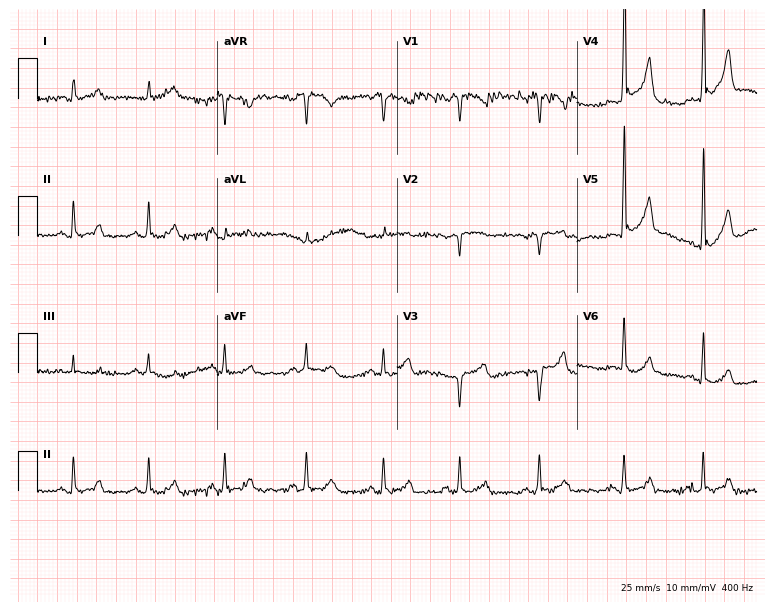
Standard 12-lead ECG recorded from a 32-year-old male patient. None of these six findings is recorded: first-degree AV block, right bundle branch block, left bundle branch block, sinus bradycardia, atrial fibrillation, sinus tachycardia. Findings outside these six are not listed.